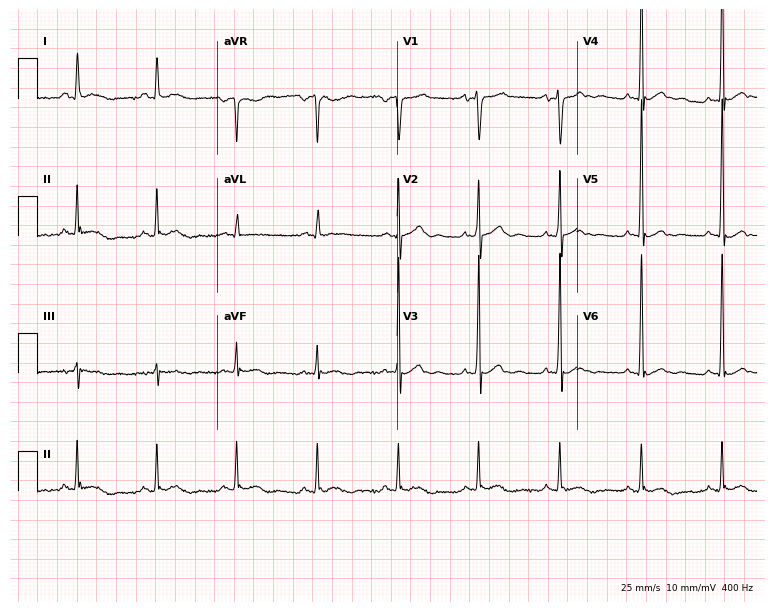
12-lead ECG (7.3-second recording at 400 Hz) from a male, 43 years old. Screened for six findings — first-degree AV block, right bundle branch block, left bundle branch block, sinus bradycardia, atrial fibrillation, sinus tachycardia — none is recorded.